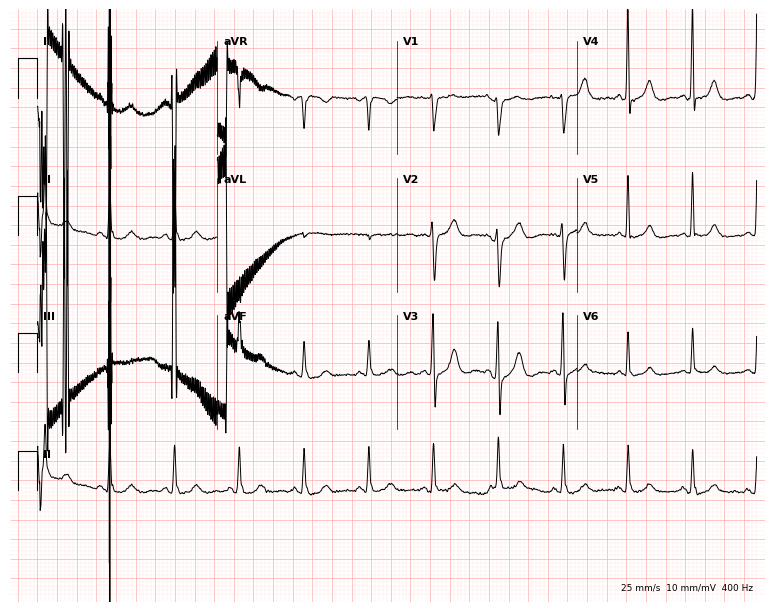
ECG — a 78-year-old male. Labelled as a normal ECG.